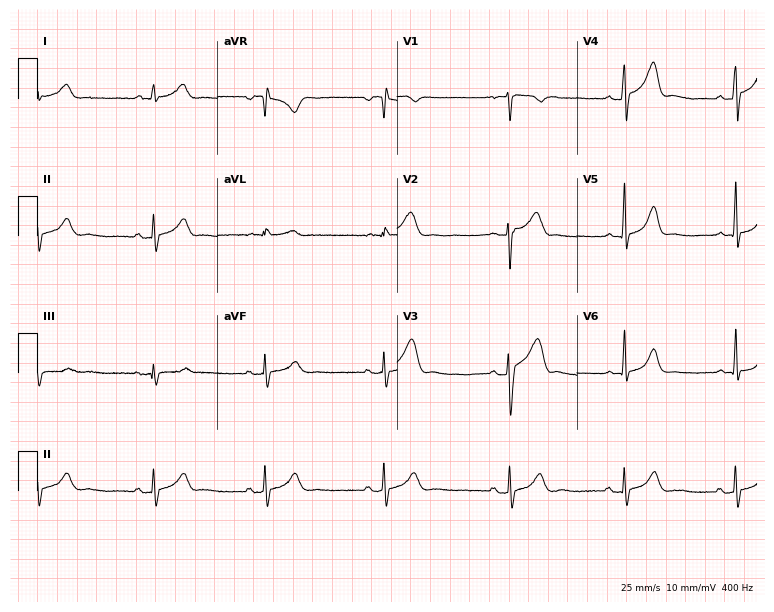
Electrocardiogram (7.3-second recording at 400 Hz), a 31-year-old male. Overall reading on record: normal ECG.